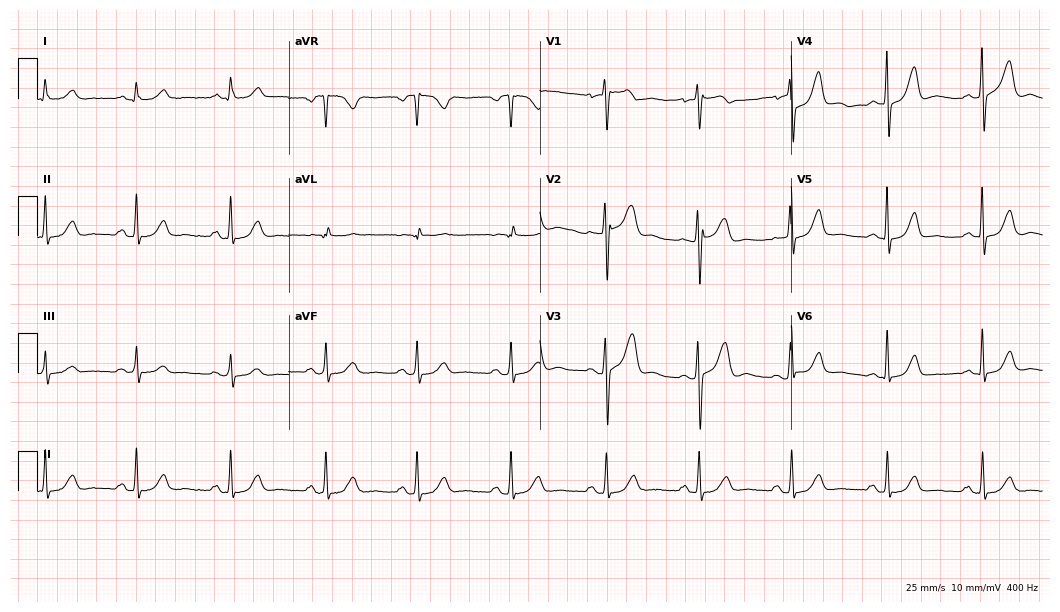
Standard 12-lead ECG recorded from a 61-year-old female patient. Read as a normal ECG.